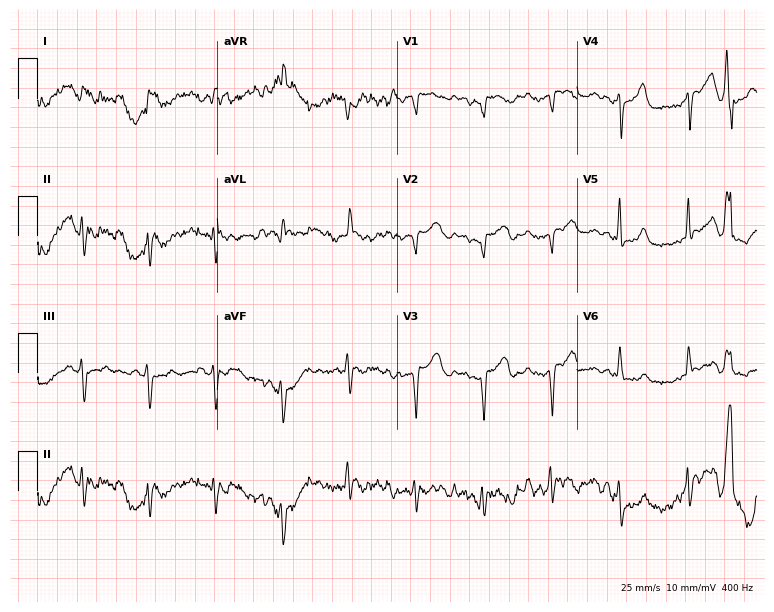
ECG — an 80-year-old male. Labelled as a normal ECG.